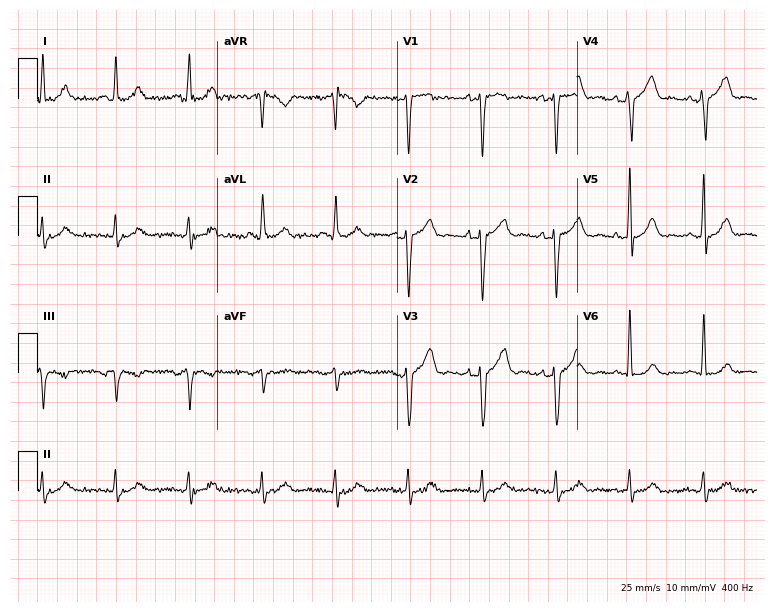
12-lead ECG from a male patient, 56 years old (7.3-second recording at 400 Hz). No first-degree AV block, right bundle branch block (RBBB), left bundle branch block (LBBB), sinus bradycardia, atrial fibrillation (AF) or sinus tachycardia recorded for this tracing. Other findings, if any, are not listed.